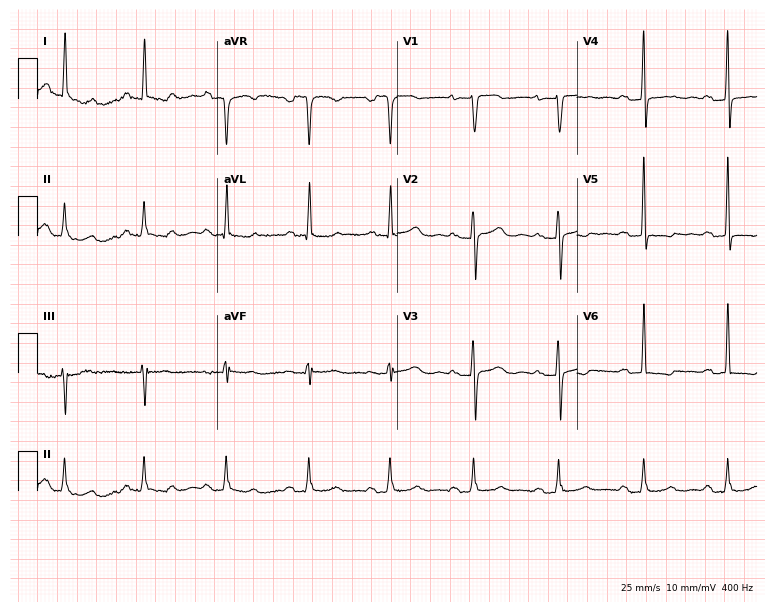
Standard 12-lead ECG recorded from a 43-year-old female patient. None of these six findings is recorded: first-degree AV block, right bundle branch block, left bundle branch block, sinus bradycardia, atrial fibrillation, sinus tachycardia.